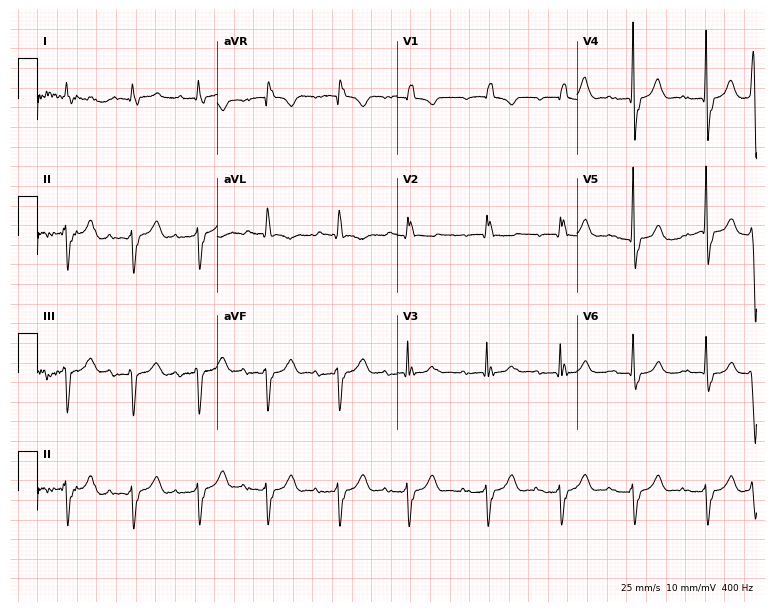
12-lead ECG from a male, 85 years old. Findings include first-degree AV block, right bundle branch block.